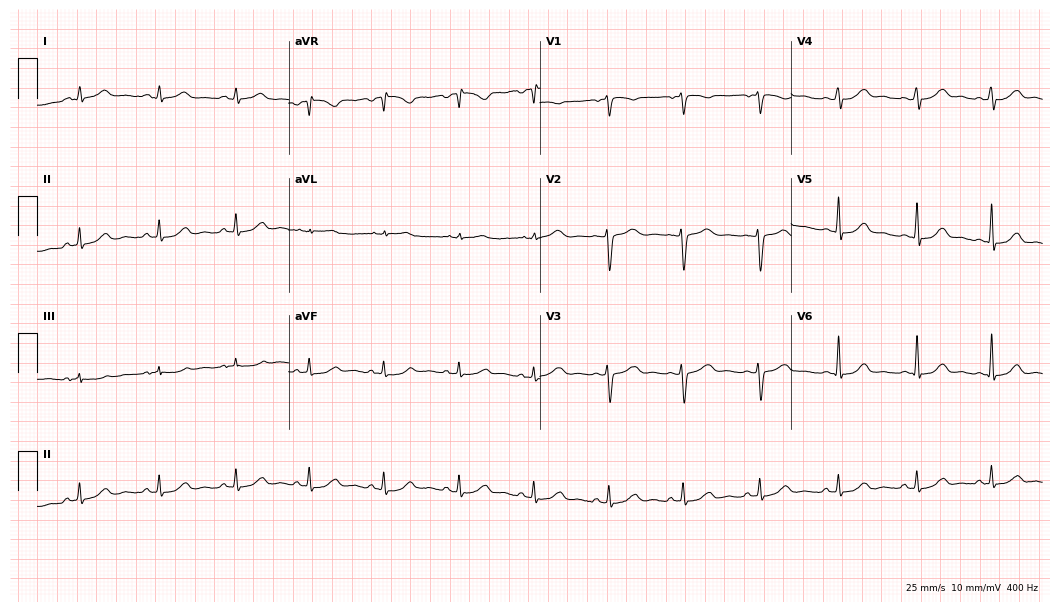
12-lead ECG from a female patient, 31 years old. Labelled as a normal ECG.